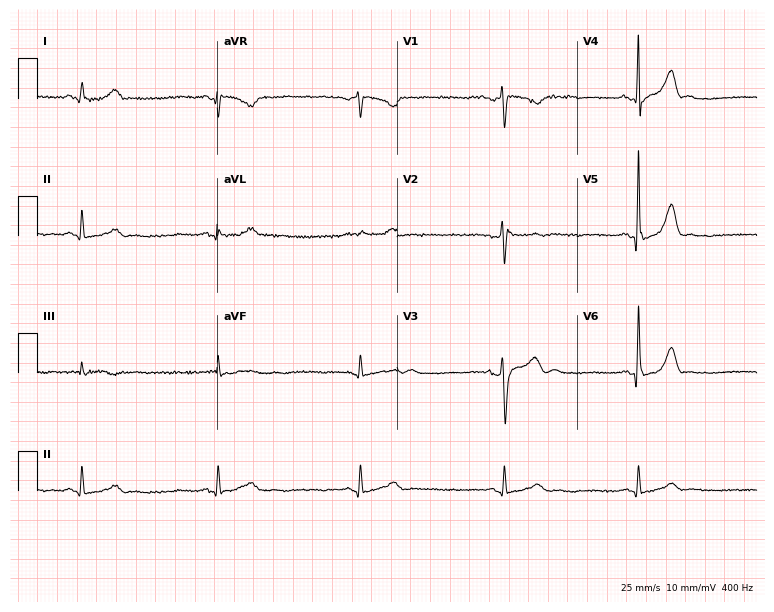
Electrocardiogram (7.3-second recording at 400 Hz), a man, 44 years old. Interpretation includes sinus bradycardia (a sinus rate of 50 beats per minute or less).